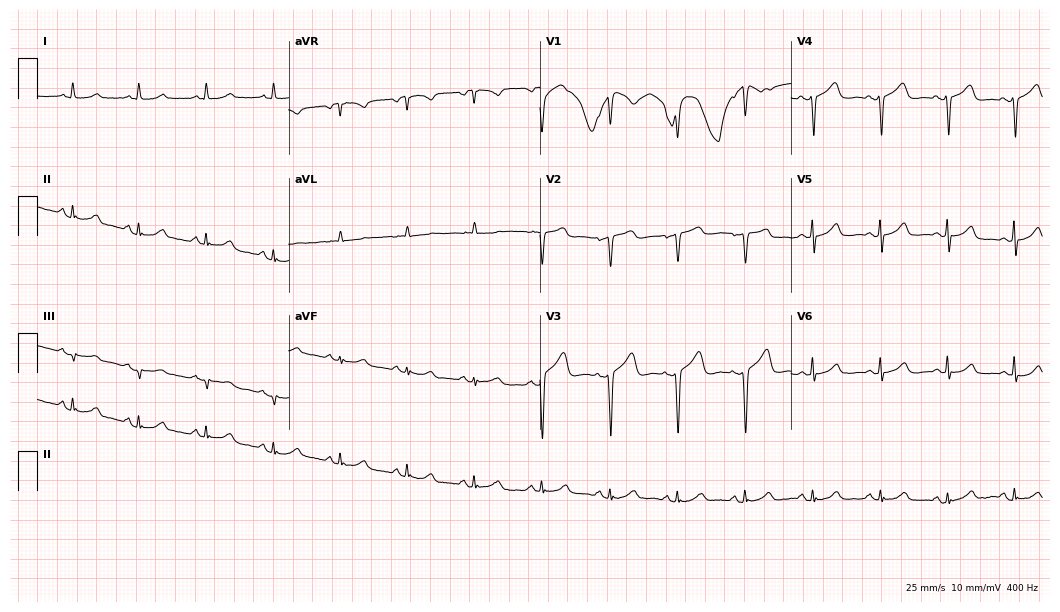
Electrocardiogram (10.2-second recording at 400 Hz), a woman, 70 years old. Of the six screened findings (first-degree AV block, right bundle branch block (RBBB), left bundle branch block (LBBB), sinus bradycardia, atrial fibrillation (AF), sinus tachycardia), none is recorded.